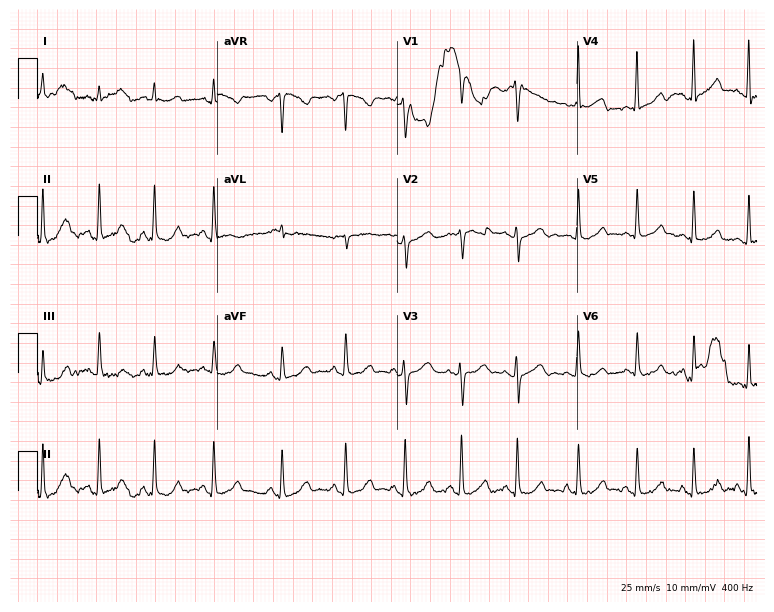
12-lead ECG from a female patient, 35 years old (7.3-second recording at 400 Hz). No first-degree AV block, right bundle branch block, left bundle branch block, sinus bradycardia, atrial fibrillation or sinus tachycardia recorded for this tracing.